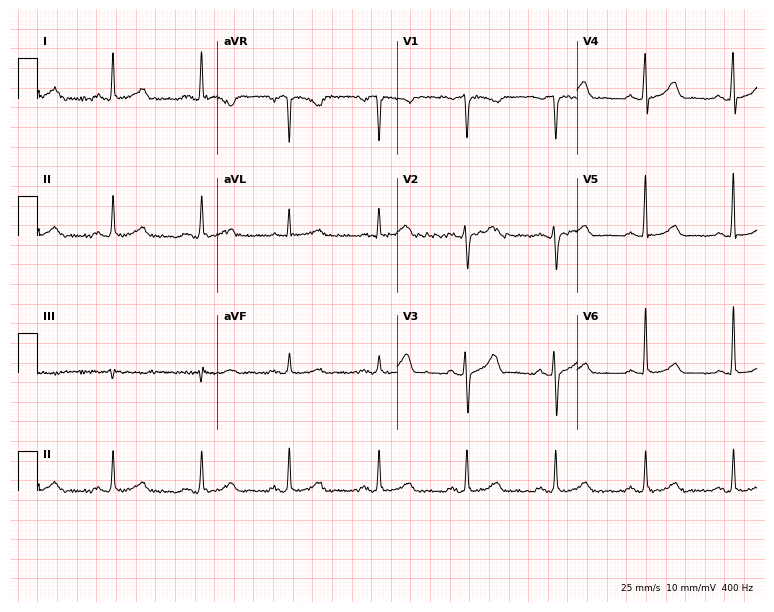
12-lead ECG (7.3-second recording at 400 Hz) from a male patient, 59 years old. Labelled as a normal ECG.